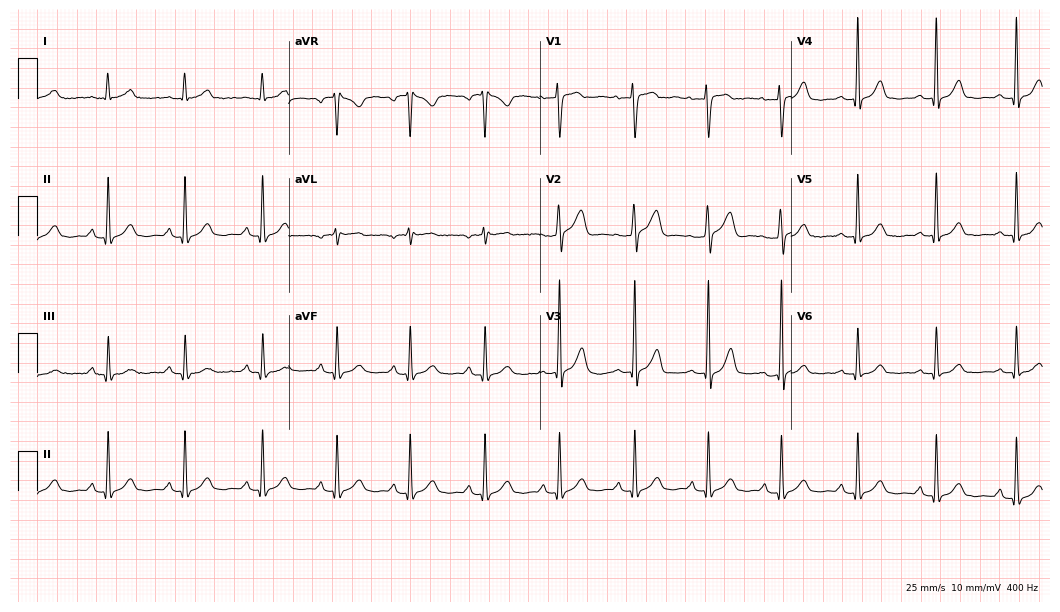
Electrocardiogram, a 30-year-old female patient. Overall reading on record: normal ECG.